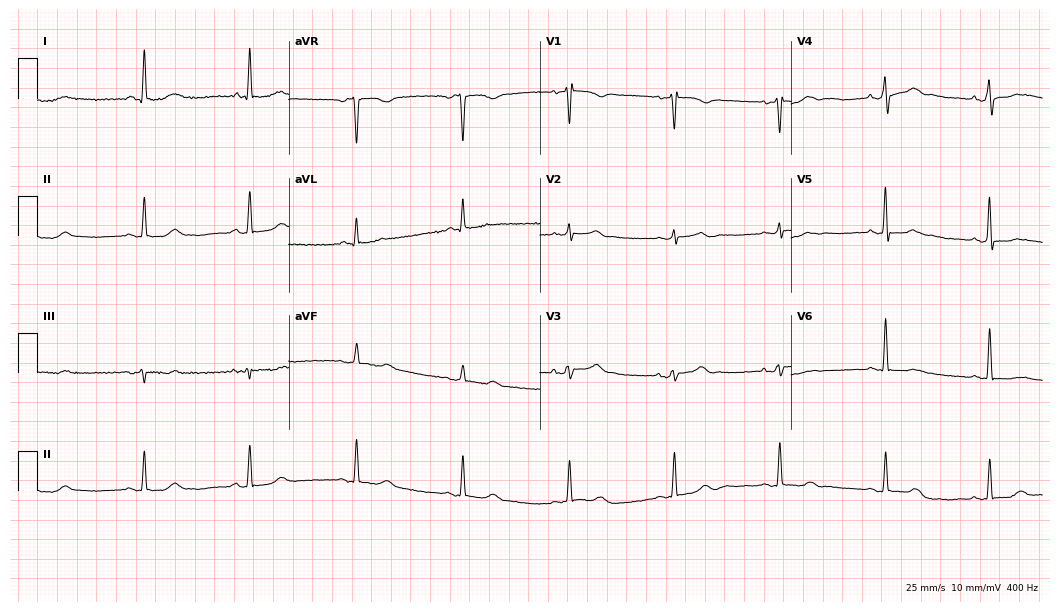
12-lead ECG from a 74-year-old female patient. No first-degree AV block, right bundle branch block (RBBB), left bundle branch block (LBBB), sinus bradycardia, atrial fibrillation (AF) or sinus tachycardia recorded for this tracing.